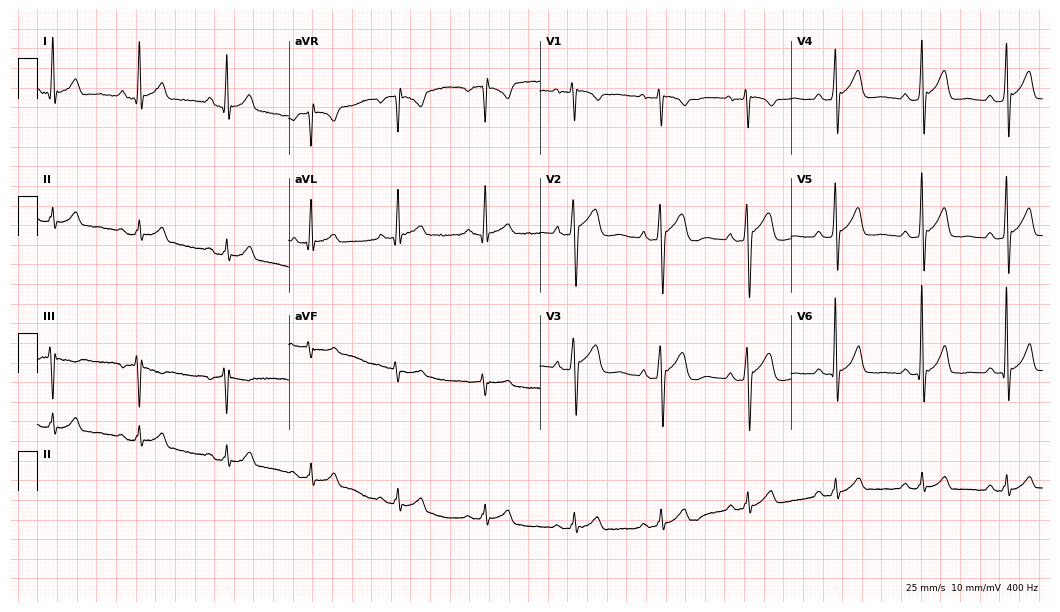
12-lead ECG from a 57-year-old man (10.2-second recording at 400 Hz). No first-degree AV block, right bundle branch block (RBBB), left bundle branch block (LBBB), sinus bradycardia, atrial fibrillation (AF) or sinus tachycardia recorded for this tracing. Only these six findings were labelled.